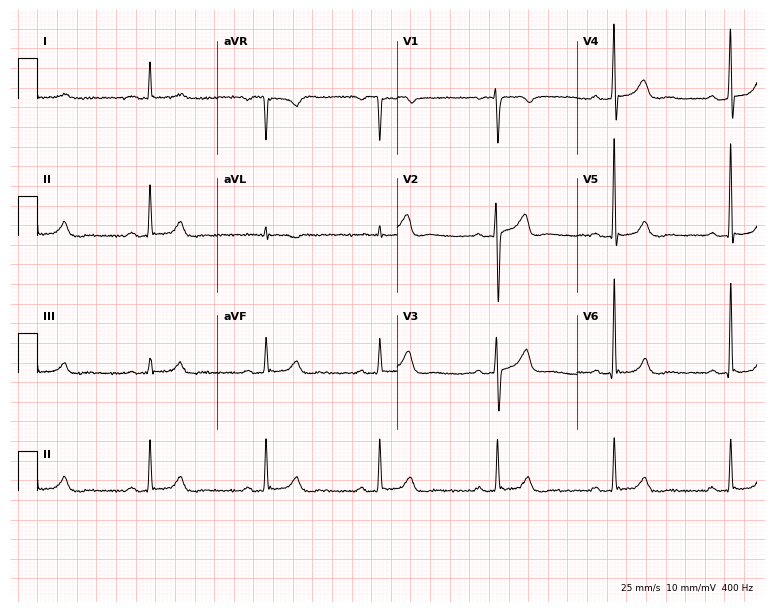
ECG (7.3-second recording at 400 Hz) — a male, 59 years old. Labelled as a normal ECG.